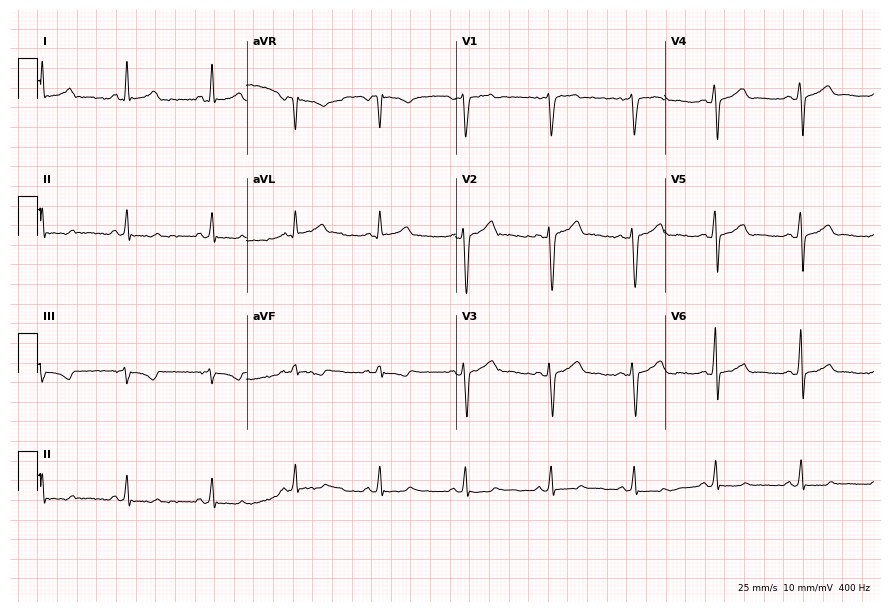
ECG — a 42-year-old female. Screened for six findings — first-degree AV block, right bundle branch block (RBBB), left bundle branch block (LBBB), sinus bradycardia, atrial fibrillation (AF), sinus tachycardia — none is recorded.